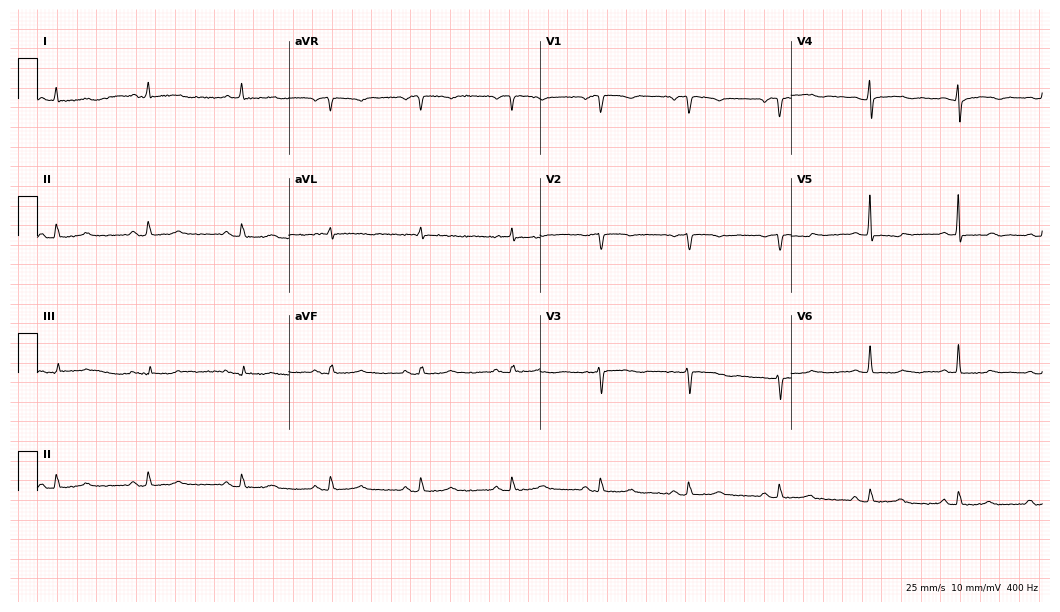
Standard 12-lead ECG recorded from a 59-year-old female patient. None of these six findings is recorded: first-degree AV block, right bundle branch block (RBBB), left bundle branch block (LBBB), sinus bradycardia, atrial fibrillation (AF), sinus tachycardia. Only these six findings were labelled.